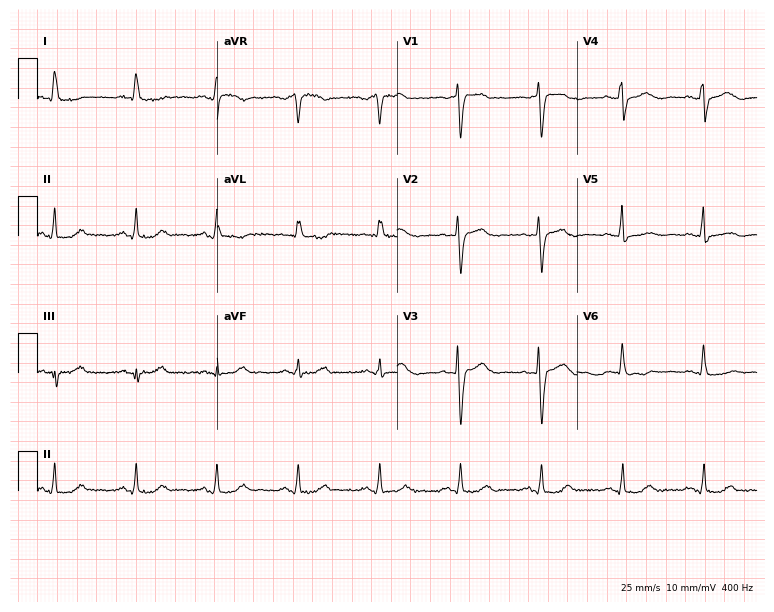
12-lead ECG from a female patient, 77 years old. Recorded interpretation: within normal limits.